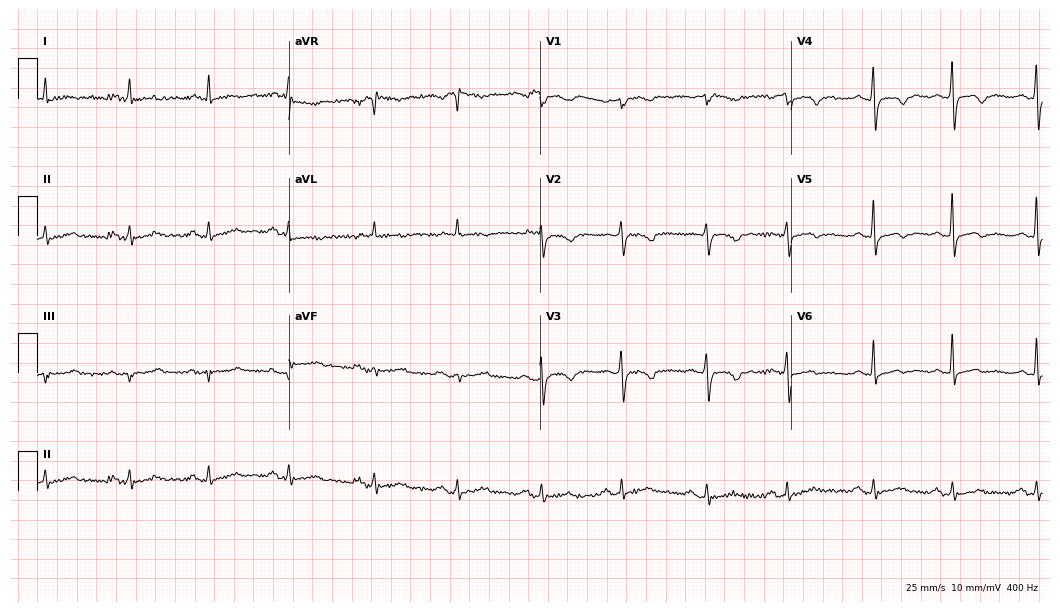
12-lead ECG from a 74-year-old female patient. No first-degree AV block, right bundle branch block (RBBB), left bundle branch block (LBBB), sinus bradycardia, atrial fibrillation (AF) or sinus tachycardia recorded for this tracing. Only these six findings were labelled.